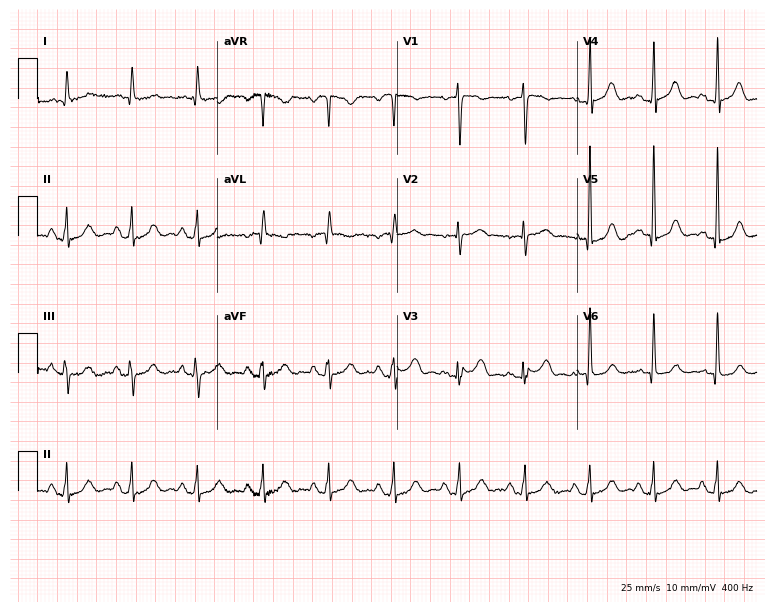
Resting 12-lead electrocardiogram (7.3-second recording at 400 Hz). Patient: a 78-year-old woman. None of these six findings is recorded: first-degree AV block, right bundle branch block, left bundle branch block, sinus bradycardia, atrial fibrillation, sinus tachycardia.